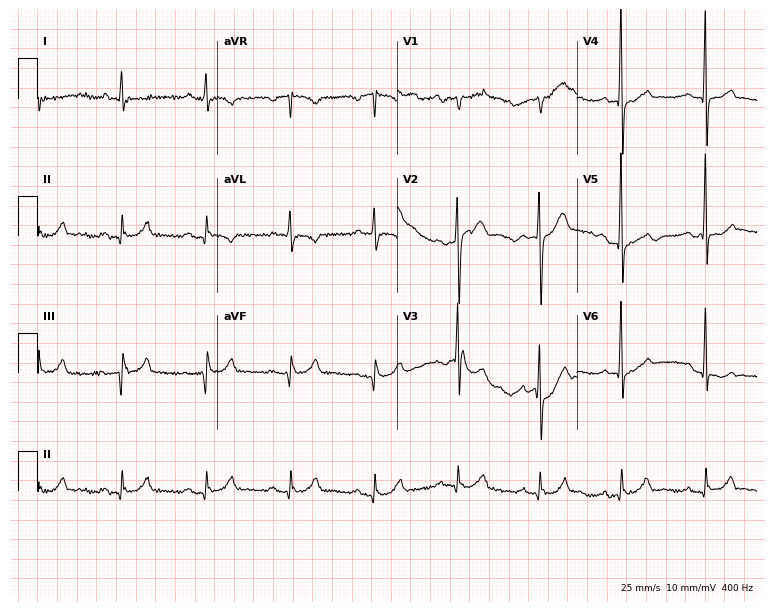
12-lead ECG (7.3-second recording at 400 Hz) from a 59-year-old male. Screened for six findings — first-degree AV block, right bundle branch block (RBBB), left bundle branch block (LBBB), sinus bradycardia, atrial fibrillation (AF), sinus tachycardia — none is recorded.